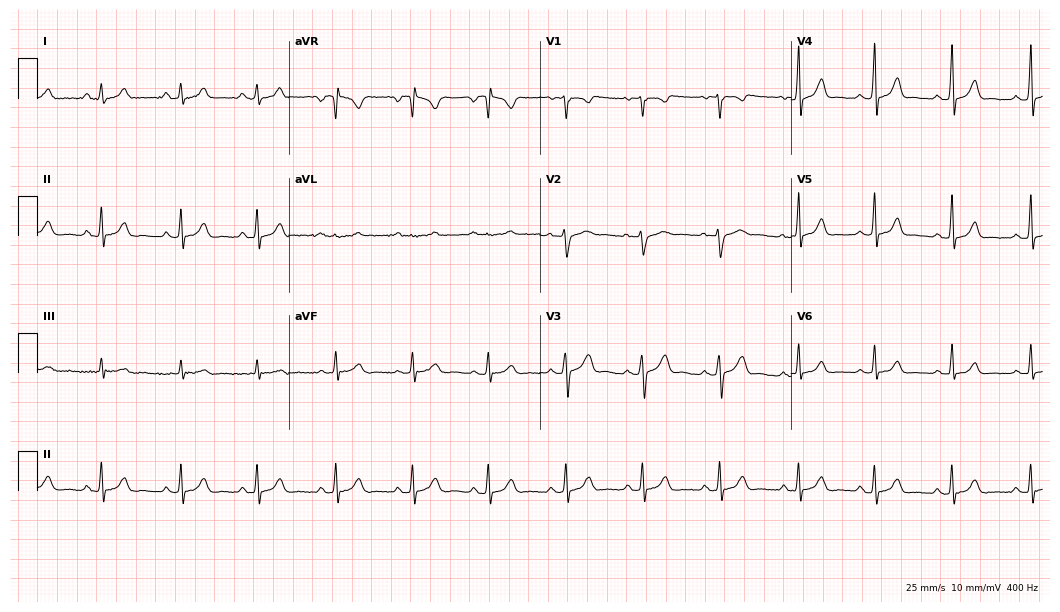
12-lead ECG from a 17-year-old woman (10.2-second recording at 400 Hz). Recorded interpretation: within normal limits.